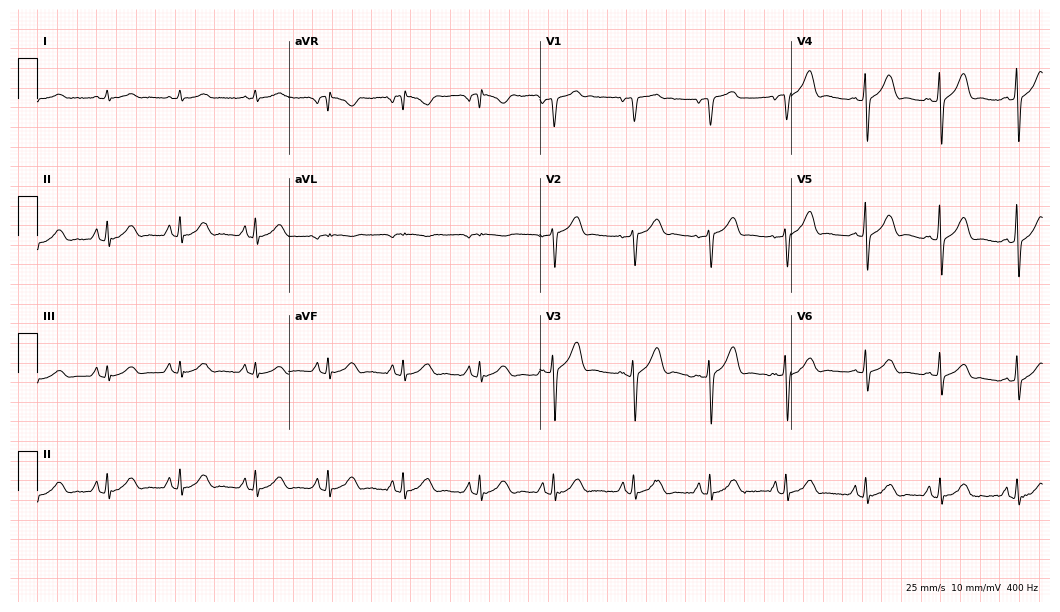
Resting 12-lead electrocardiogram (10.2-second recording at 400 Hz). Patient: a 70-year-old male. Read as a normal ECG.